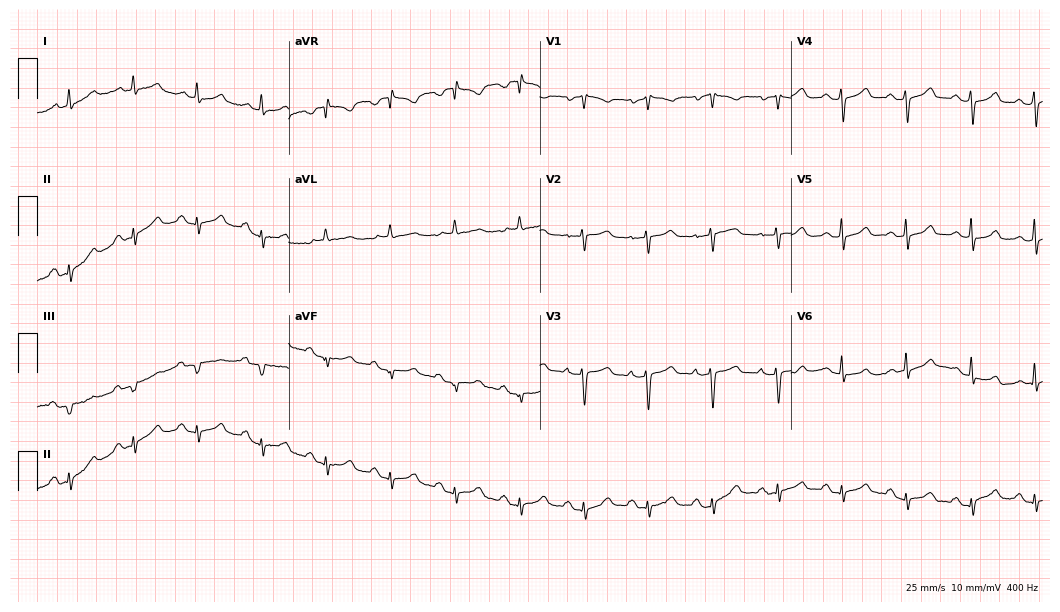
Electrocardiogram (10.2-second recording at 400 Hz), a female patient, 52 years old. Overall reading on record: normal ECG.